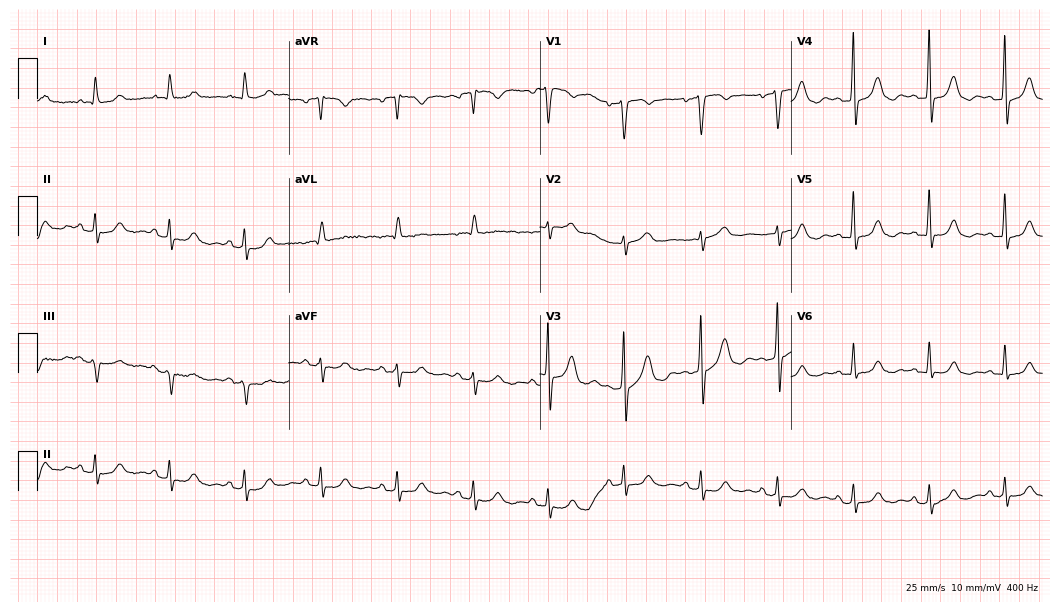
Electrocardiogram (10.2-second recording at 400 Hz), a male, 59 years old. Overall reading on record: normal ECG.